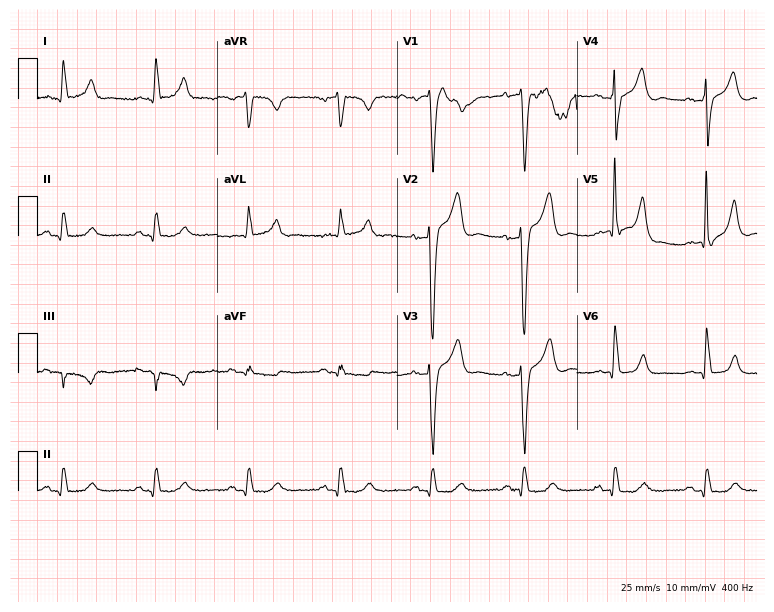
ECG — a 77-year-old male. Screened for six findings — first-degree AV block, right bundle branch block, left bundle branch block, sinus bradycardia, atrial fibrillation, sinus tachycardia — none is recorded. Other findings, if any, are not listed.